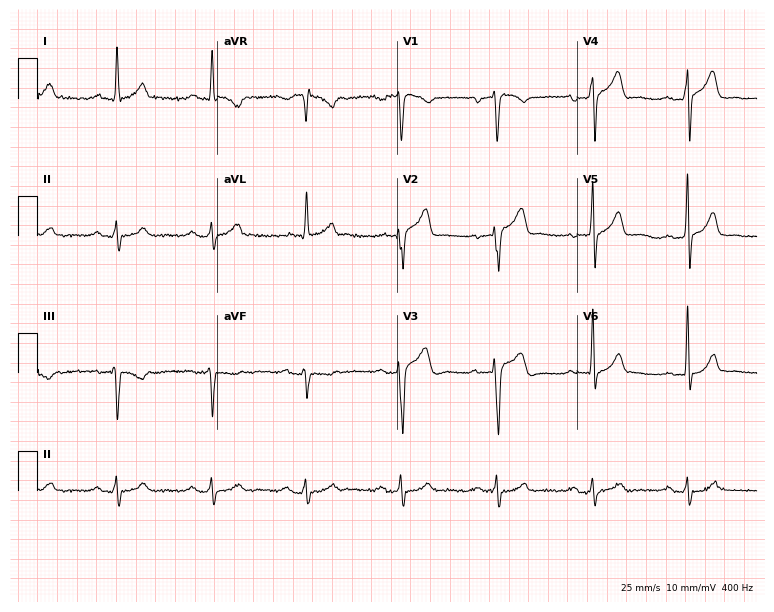
Resting 12-lead electrocardiogram (7.3-second recording at 400 Hz). Patient: a male, 48 years old. None of these six findings is recorded: first-degree AV block, right bundle branch block, left bundle branch block, sinus bradycardia, atrial fibrillation, sinus tachycardia. Only these six findings were labelled.